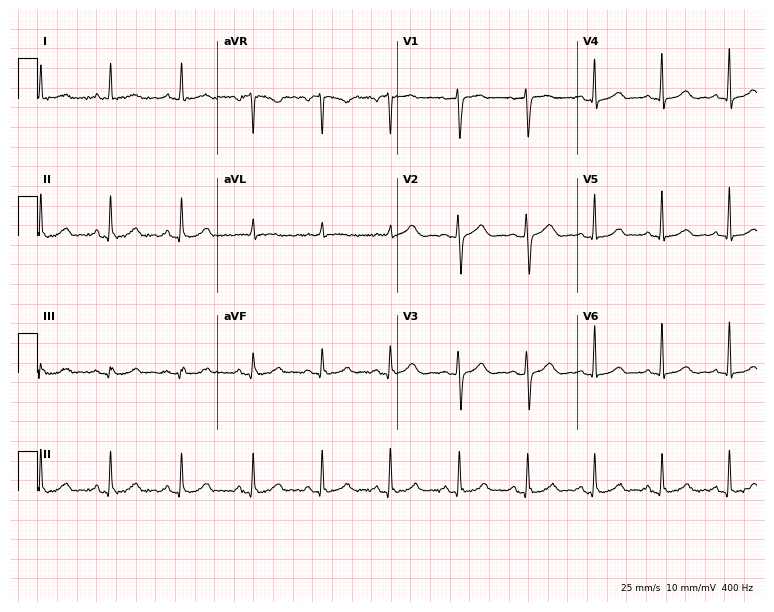
ECG (7.3-second recording at 400 Hz) — a female patient, 42 years old. Labelled as a normal ECG.